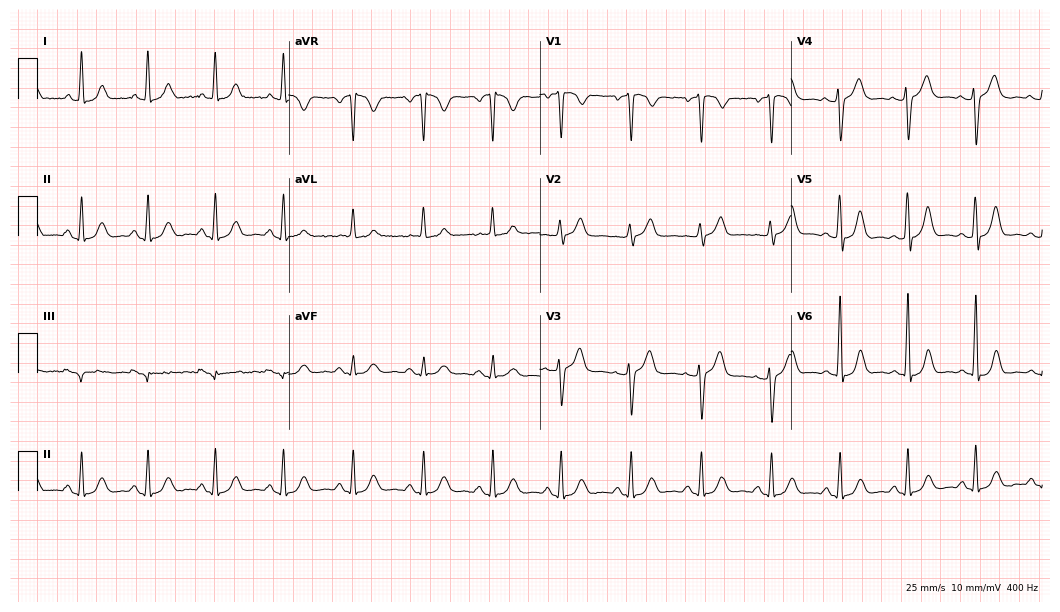
Resting 12-lead electrocardiogram (10.2-second recording at 400 Hz). Patient: a 44-year-old female. None of these six findings is recorded: first-degree AV block, right bundle branch block, left bundle branch block, sinus bradycardia, atrial fibrillation, sinus tachycardia.